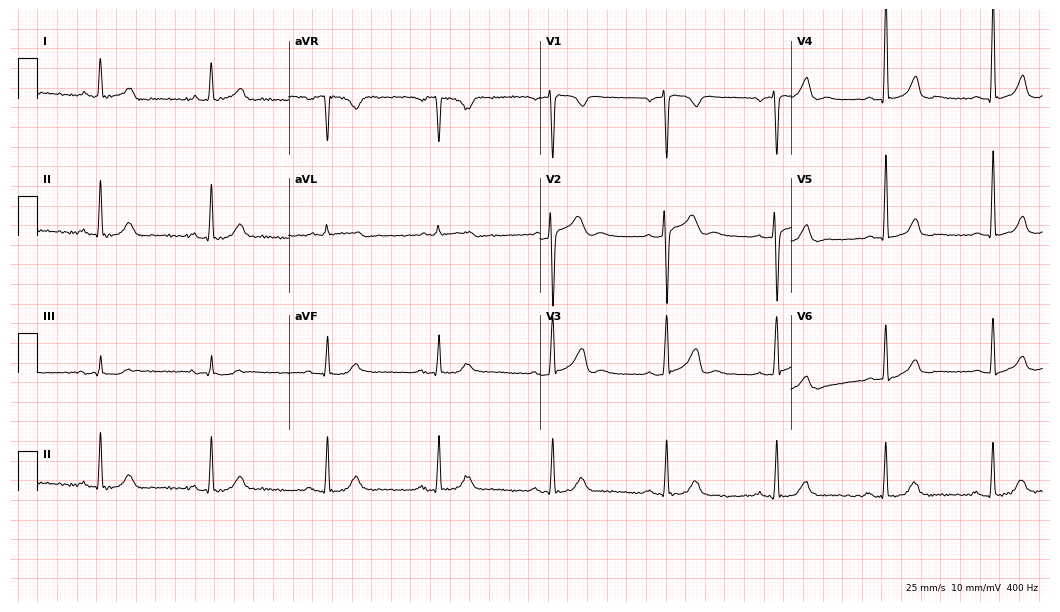
ECG (10.2-second recording at 400 Hz) — a male, 43 years old. Labelled as a normal ECG.